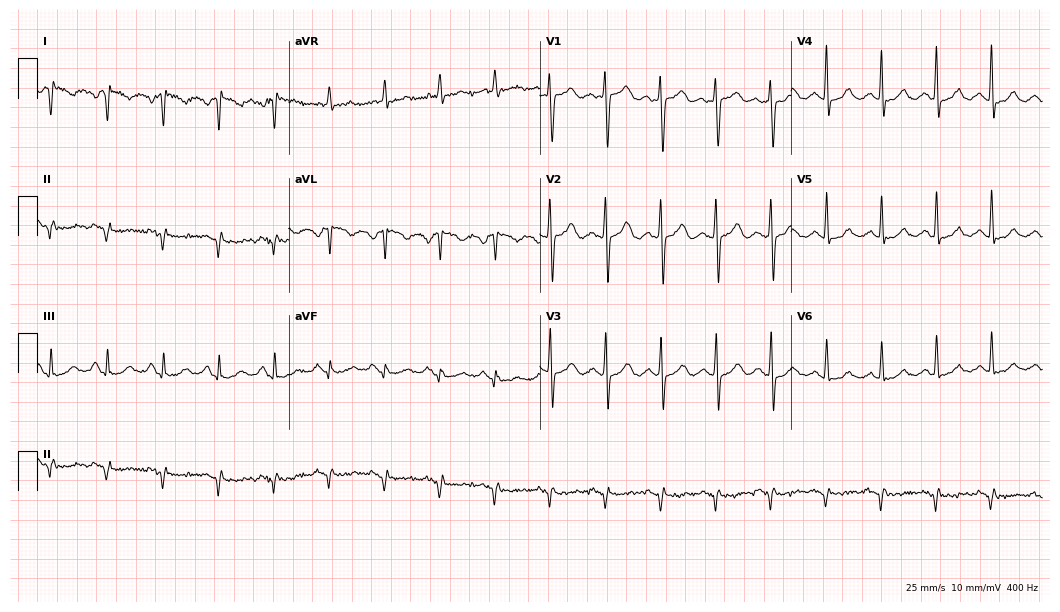
Electrocardiogram, a female, 66 years old. Of the six screened findings (first-degree AV block, right bundle branch block, left bundle branch block, sinus bradycardia, atrial fibrillation, sinus tachycardia), none is recorded. Other findings, if any, are not listed.